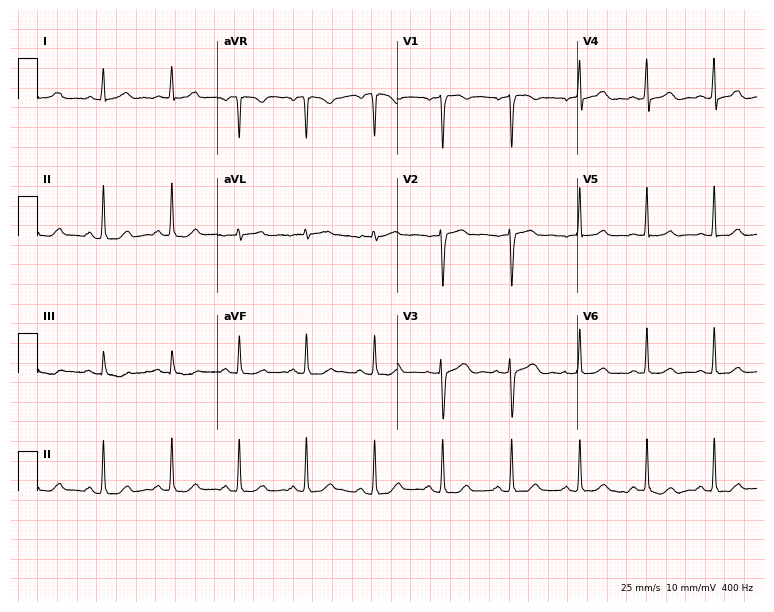
Electrocardiogram (7.3-second recording at 400 Hz), a woman, 47 years old. Overall reading on record: normal ECG.